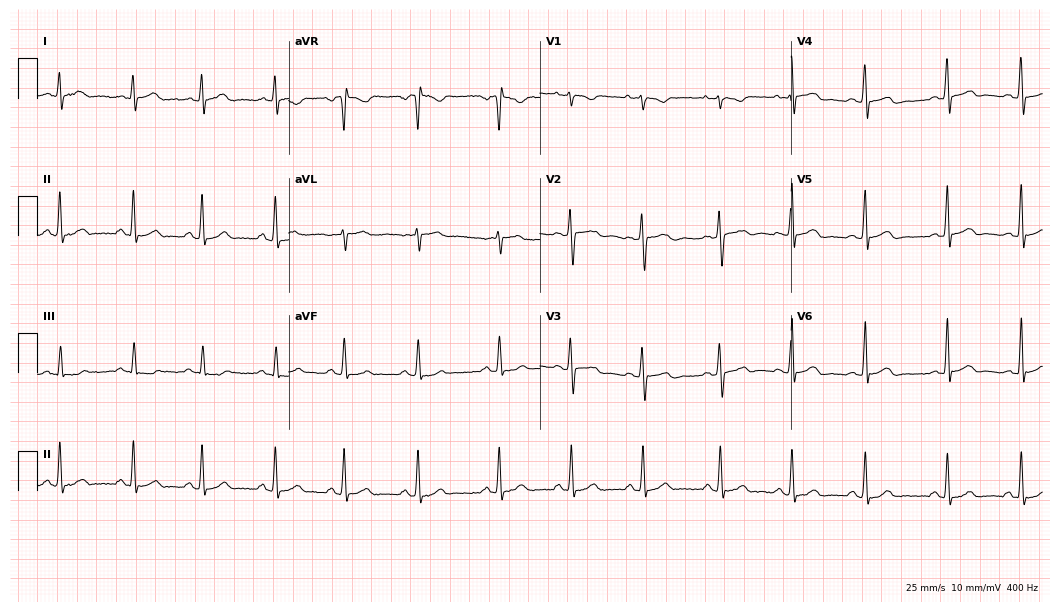
12-lead ECG from a 20-year-old female patient (10.2-second recording at 400 Hz). No first-degree AV block, right bundle branch block, left bundle branch block, sinus bradycardia, atrial fibrillation or sinus tachycardia recorded for this tracing. Only these six findings were labelled.